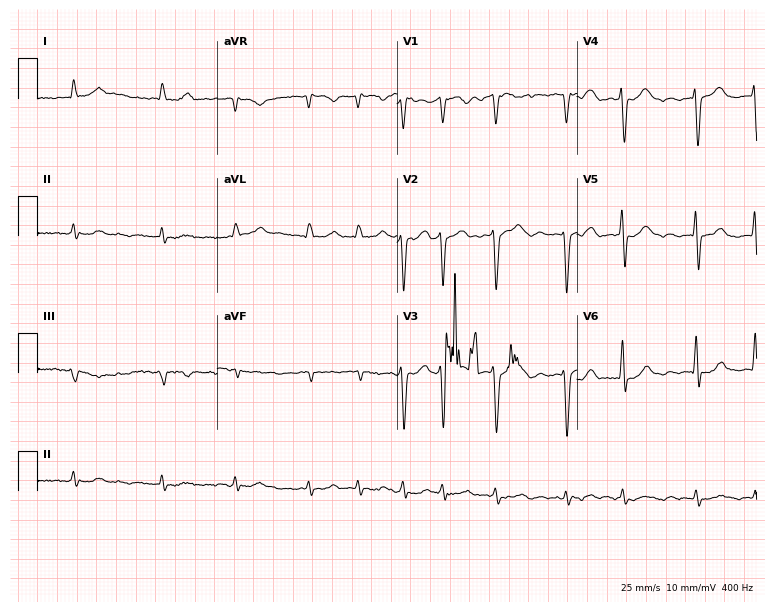
12-lead ECG from a 77-year-old male. Findings include atrial fibrillation (AF).